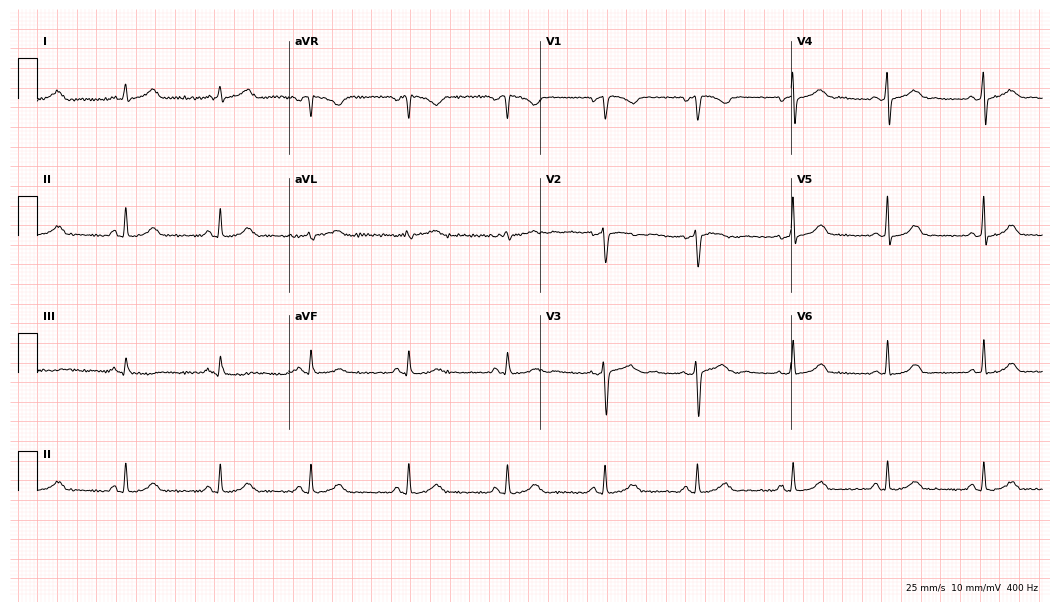
Electrocardiogram (10.2-second recording at 400 Hz), a woman, 30 years old. Of the six screened findings (first-degree AV block, right bundle branch block, left bundle branch block, sinus bradycardia, atrial fibrillation, sinus tachycardia), none is recorded.